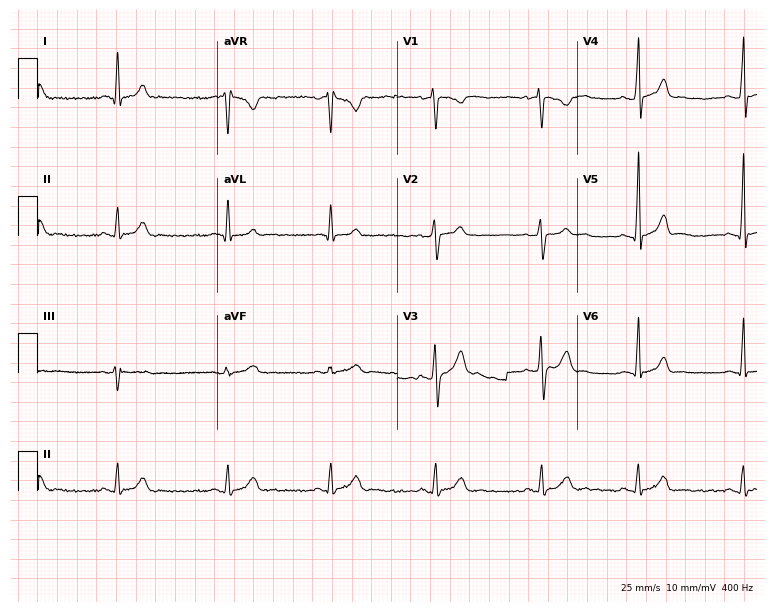
12-lead ECG from a 32-year-old male. Labelled as a normal ECG.